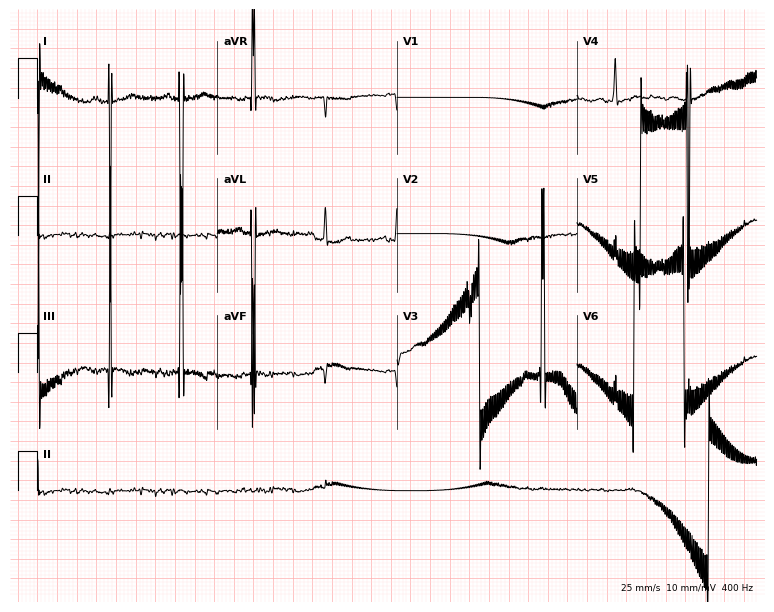
Standard 12-lead ECG recorded from a 56-year-old man. None of these six findings is recorded: first-degree AV block, right bundle branch block, left bundle branch block, sinus bradycardia, atrial fibrillation, sinus tachycardia.